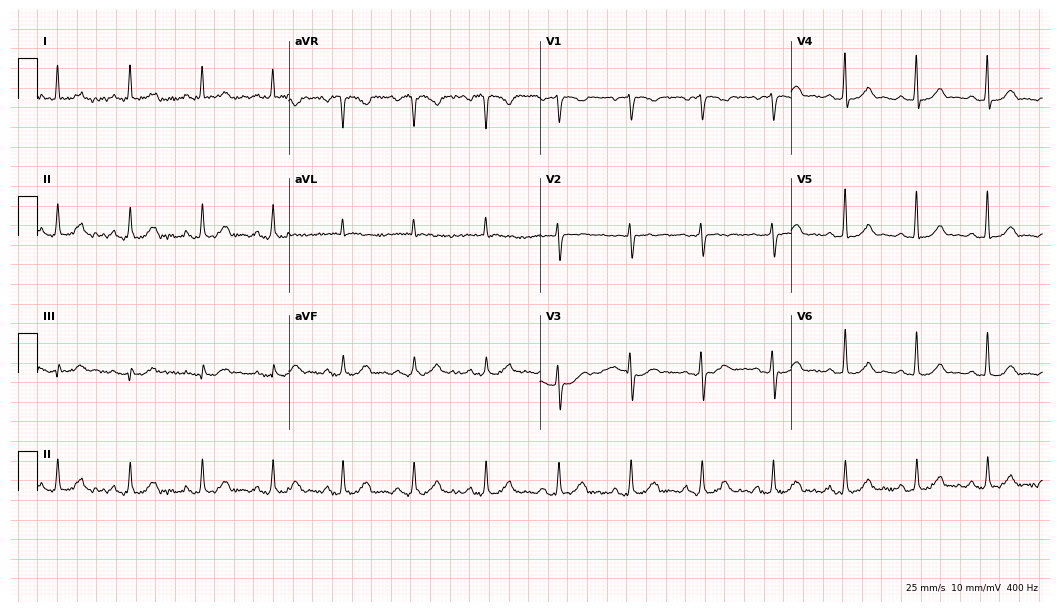
ECG — a 54-year-old female patient. Labelled as a normal ECG.